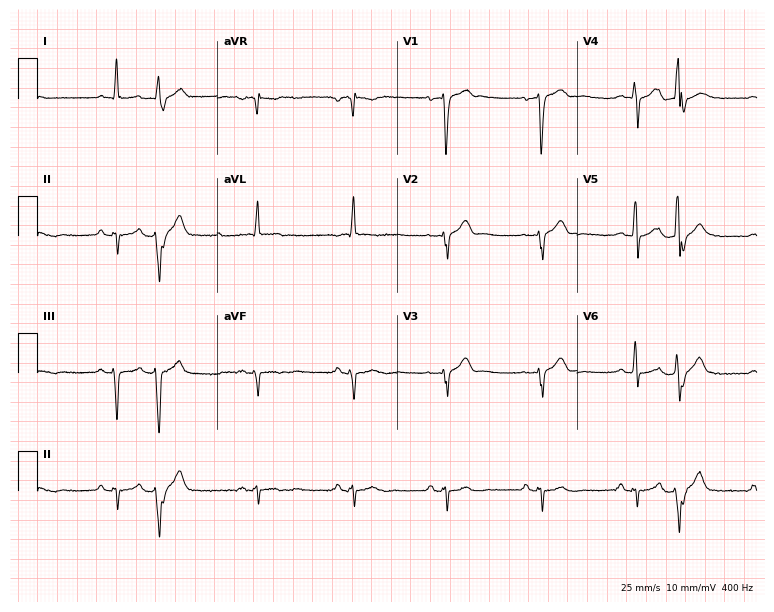
Resting 12-lead electrocardiogram. Patient: a man, 72 years old. None of these six findings is recorded: first-degree AV block, right bundle branch block, left bundle branch block, sinus bradycardia, atrial fibrillation, sinus tachycardia.